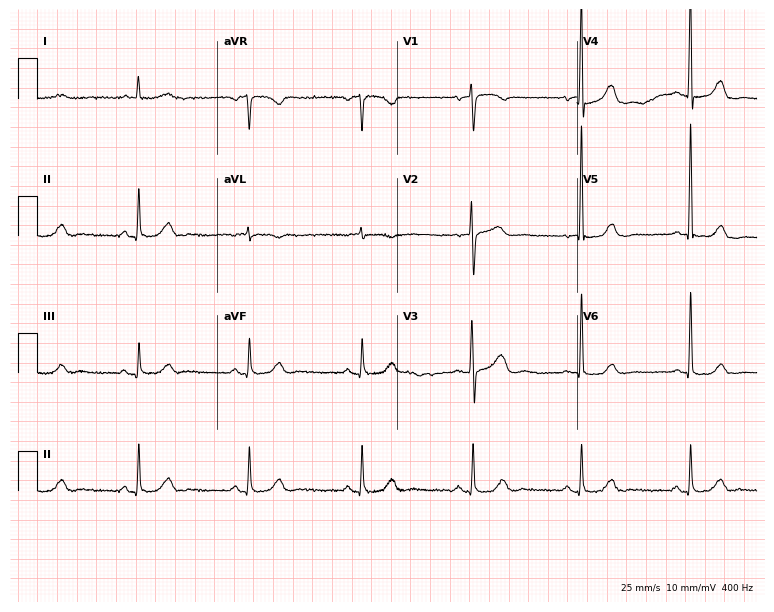
Electrocardiogram, a male patient, 80 years old. Of the six screened findings (first-degree AV block, right bundle branch block, left bundle branch block, sinus bradycardia, atrial fibrillation, sinus tachycardia), none is recorded. Other findings, if any, are not listed.